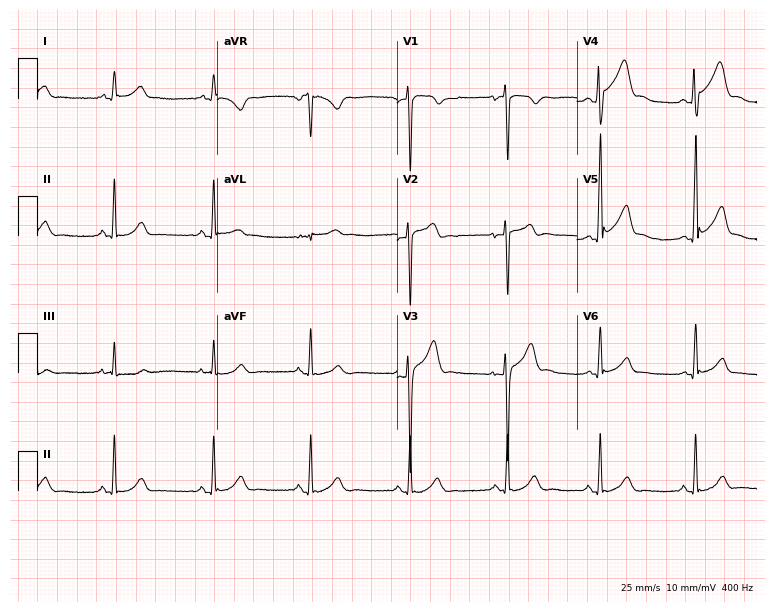
12-lead ECG from a 26-year-old male (7.3-second recording at 400 Hz). No first-degree AV block, right bundle branch block, left bundle branch block, sinus bradycardia, atrial fibrillation or sinus tachycardia recorded for this tracing. Other findings, if any, are not listed.